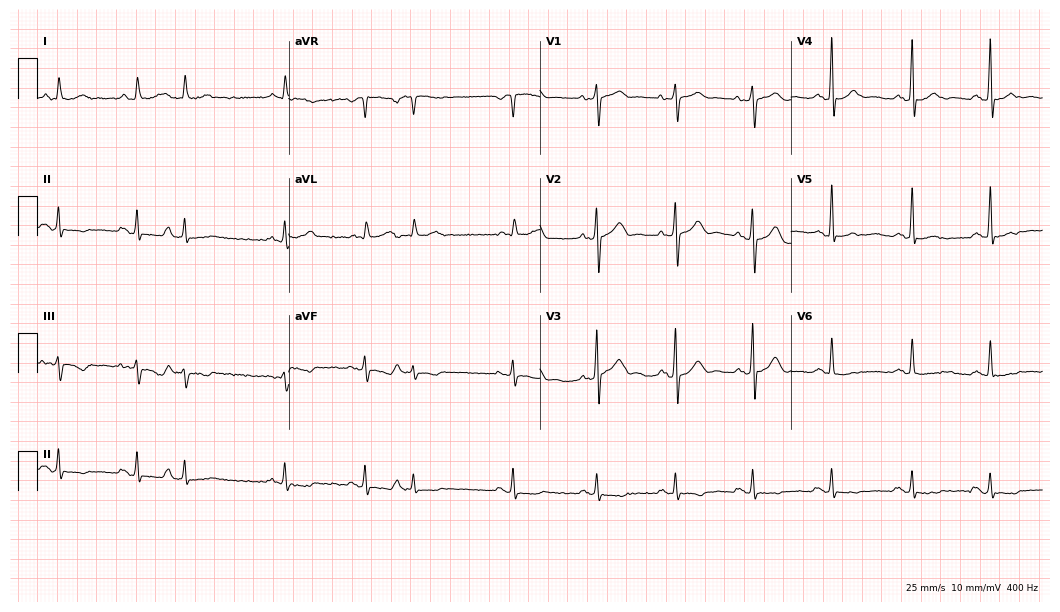
12-lead ECG from a 78-year-old man (10.2-second recording at 400 Hz). Recorded interpretation: within normal limits.